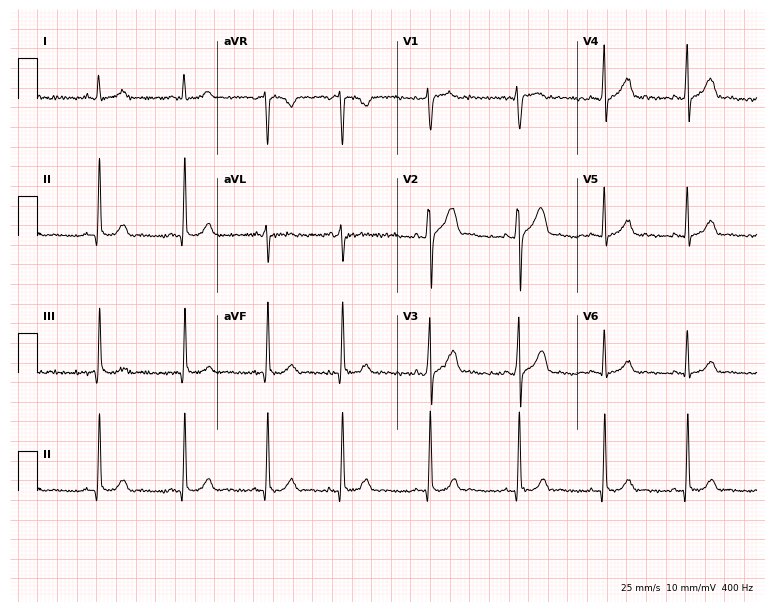
ECG — a male patient, 29 years old. Labelled as a normal ECG.